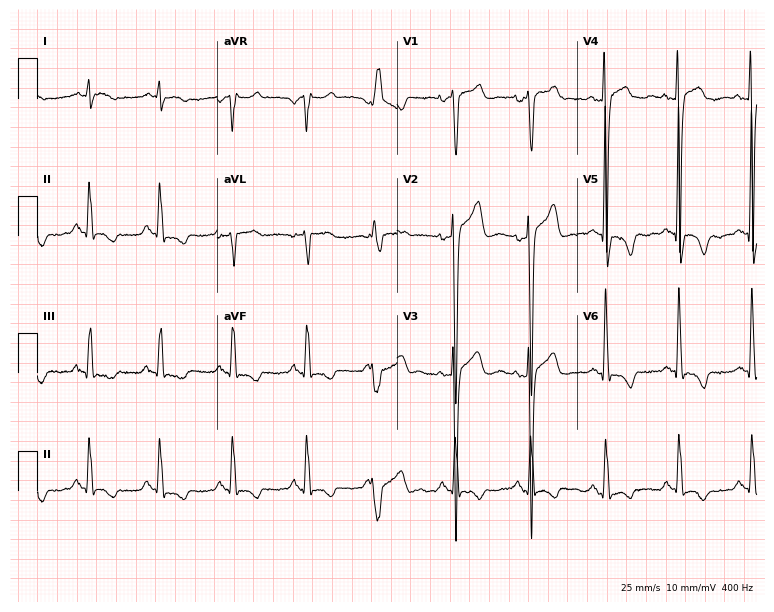
Standard 12-lead ECG recorded from a 52-year-old man (7.3-second recording at 400 Hz). None of these six findings is recorded: first-degree AV block, right bundle branch block, left bundle branch block, sinus bradycardia, atrial fibrillation, sinus tachycardia.